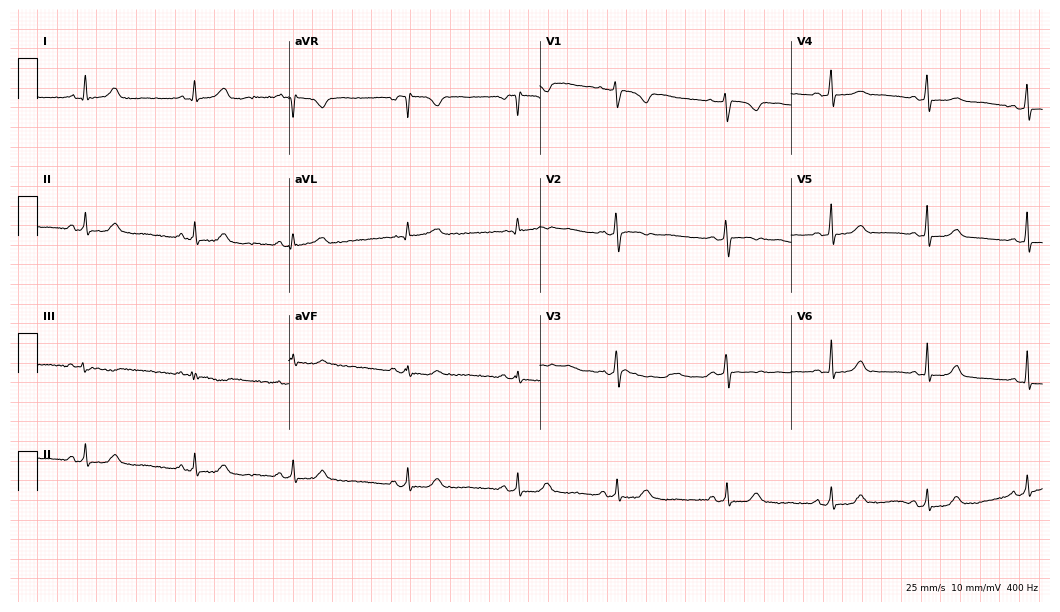
12-lead ECG (10.2-second recording at 400 Hz) from a 21-year-old female patient. Labelled as a normal ECG.